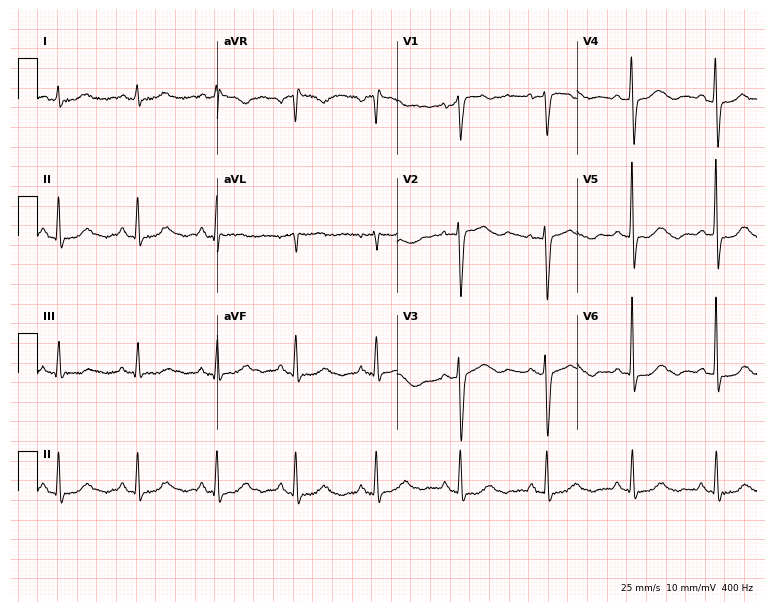
12-lead ECG from a female patient, 53 years old. No first-degree AV block, right bundle branch block, left bundle branch block, sinus bradycardia, atrial fibrillation or sinus tachycardia recorded for this tracing. Only these six findings were labelled.